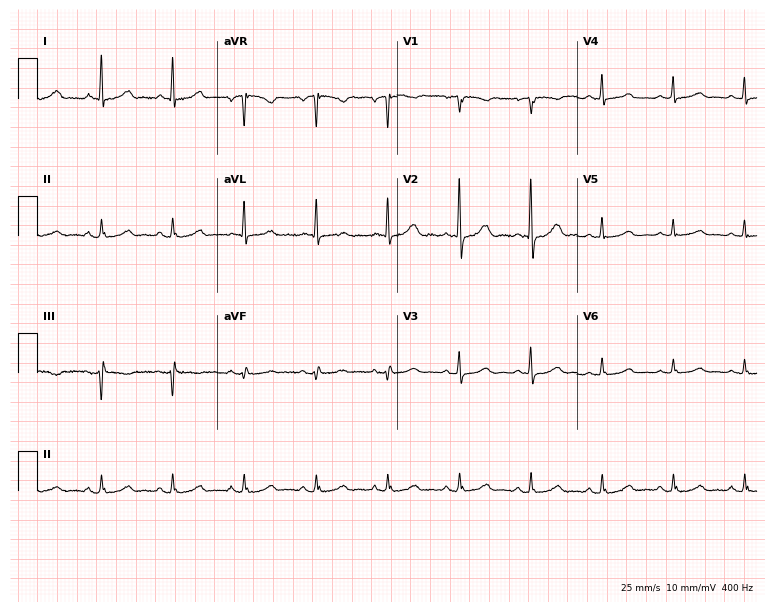
Resting 12-lead electrocardiogram. Patient: a woman, 78 years old. Read as a normal ECG.